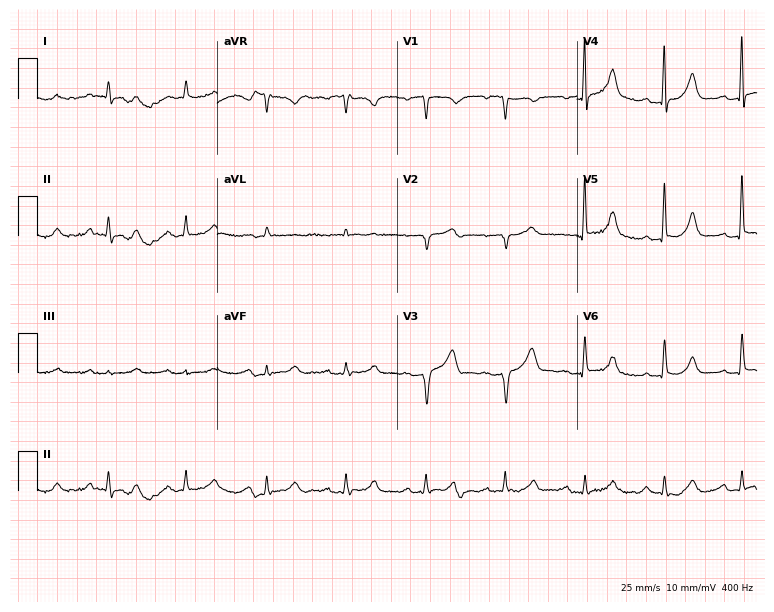
12-lead ECG (7.3-second recording at 400 Hz) from a 74-year-old male. Screened for six findings — first-degree AV block, right bundle branch block (RBBB), left bundle branch block (LBBB), sinus bradycardia, atrial fibrillation (AF), sinus tachycardia — none is recorded. Other findings, if any, are not listed.